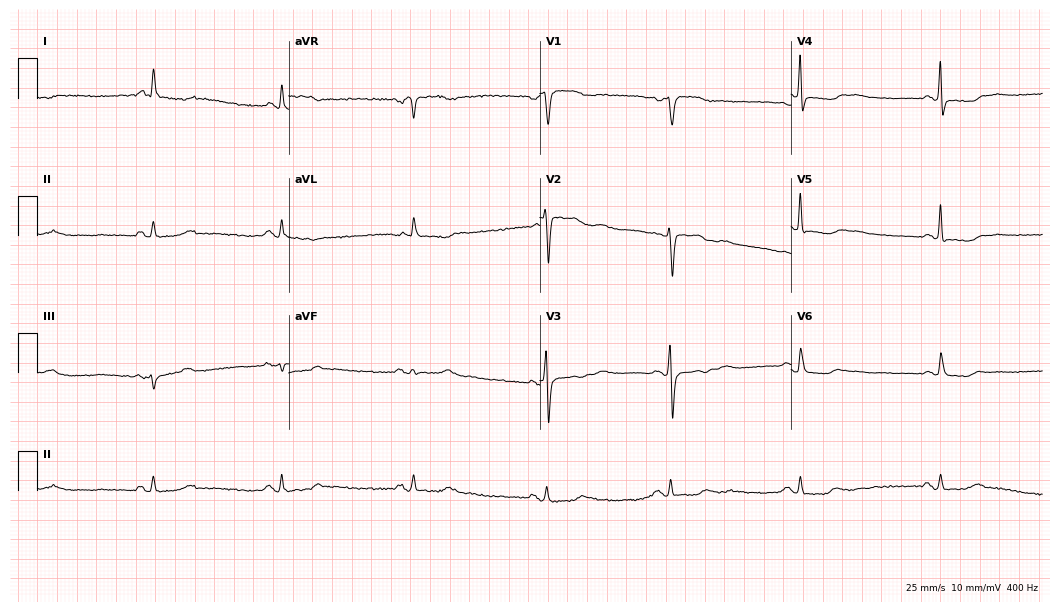
Resting 12-lead electrocardiogram. Patient: a 60-year-old female. None of these six findings is recorded: first-degree AV block, right bundle branch block, left bundle branch block, sinus bradycardia, atrial fibrillation, sinus tachycardia. Only these six findings were labelled.